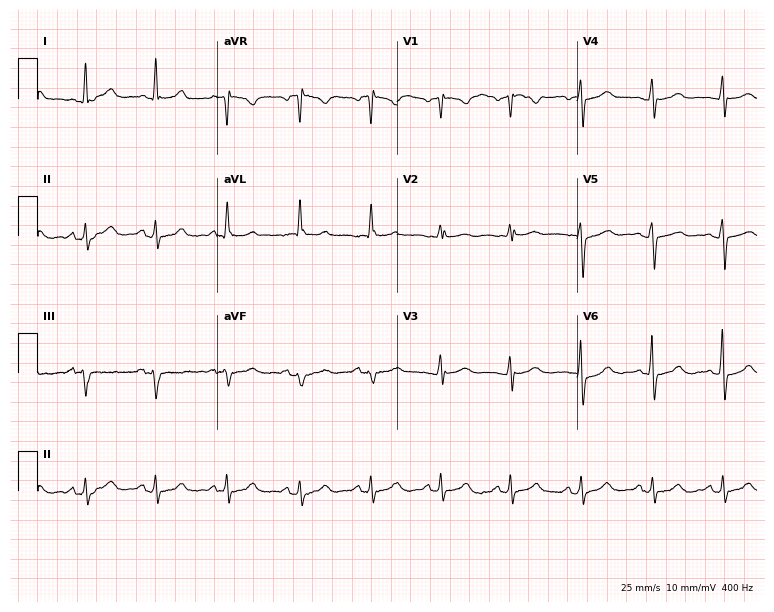
12-lead ECG from a woman, 68 years old. No first-degree AV block, right bundle branch block, left bundle branch block, sinus bradycardia, atrial fibrillation or sinus tachycardia recorded for this tracing. Only these six findings were labelled.